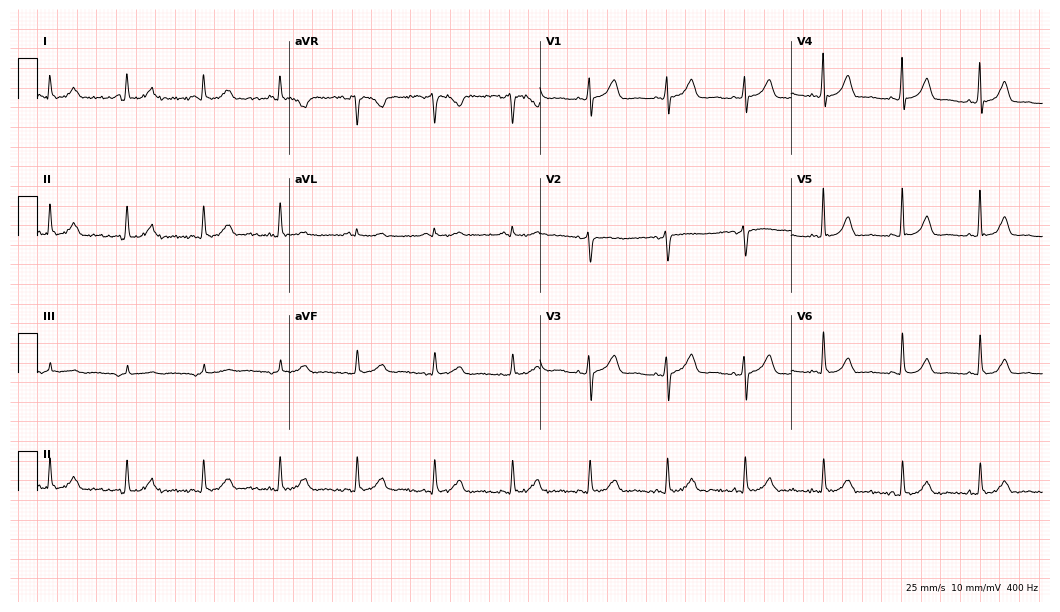
Standard 12-lead ECG recorded from a female patient, 65 years old (10.2-second recording at 400 Hz). Read as a normal ECG.